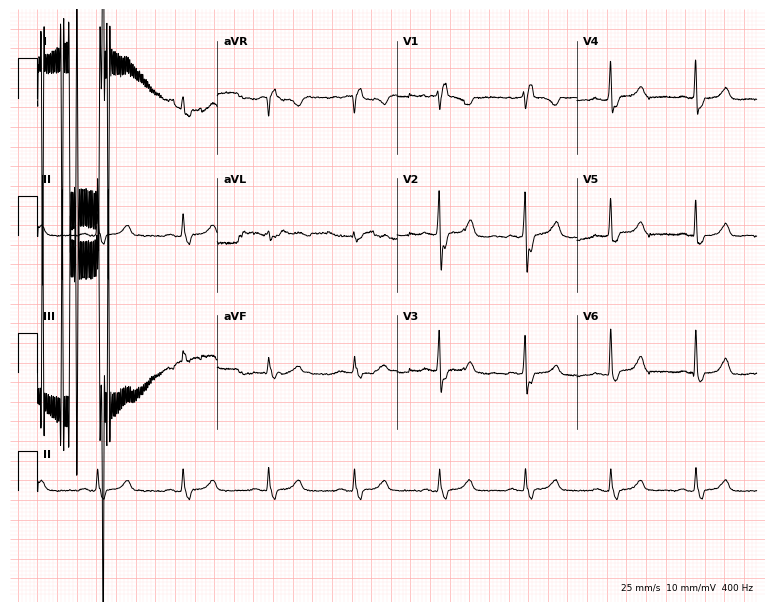
12-lead ECG from a 48-year-old female patient (7.3-second recording at 400 Hz). Shows right bundle branch block.